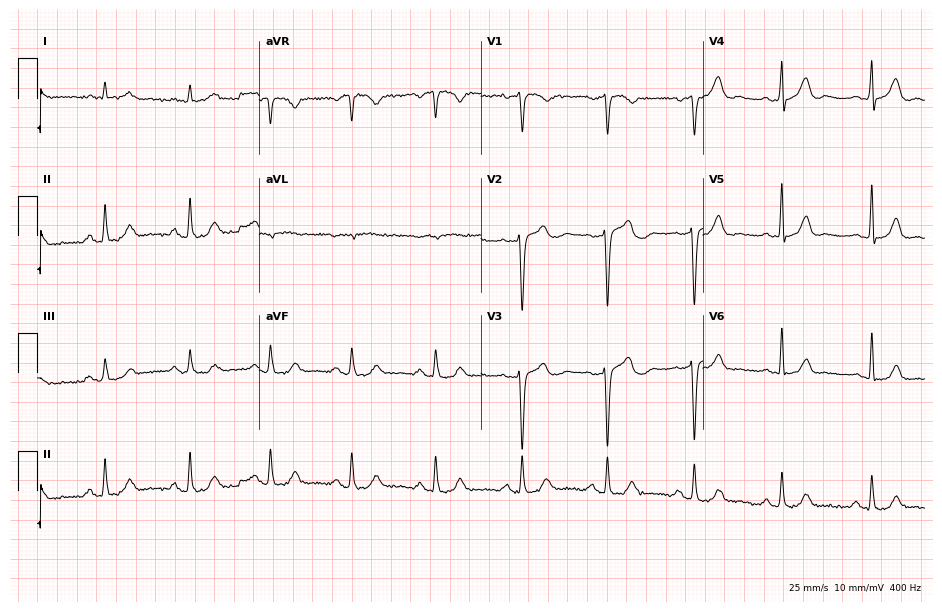
12-lead ECG from a man, 64 years old. Screened for six findings — first-degree AV block, right bundle branch block, left bundle branch block, sinus bradycardia, atrial fibrillation, sinus tachycardia — none is recorded. Findings outside these six are not listed.